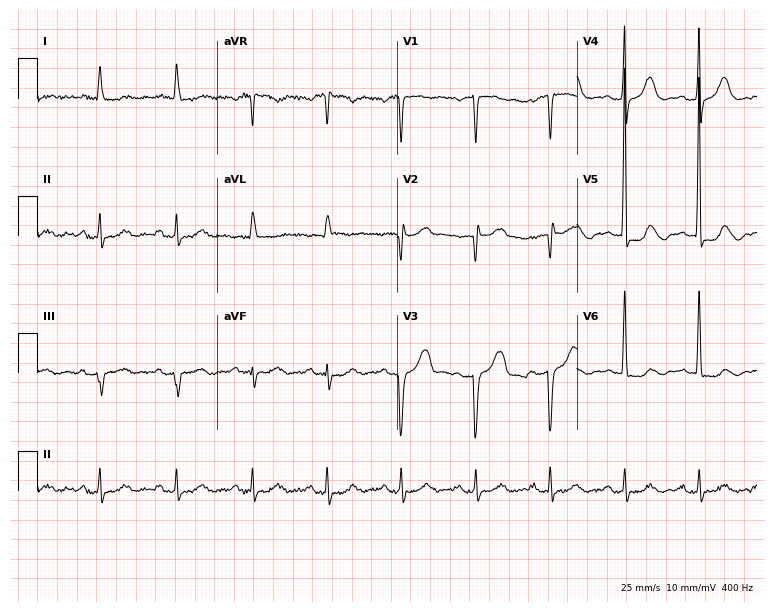
Electrocardiogram, a male, 80 years old. Of the six screened findings (first-degree AV block, right bundle branch block (RBBB), left bundle branch block (LBBB), sinus bradycardia, atrial fibrillation (AF), sinus tachycardia), none is recorded. Findings outside these six are not listed.